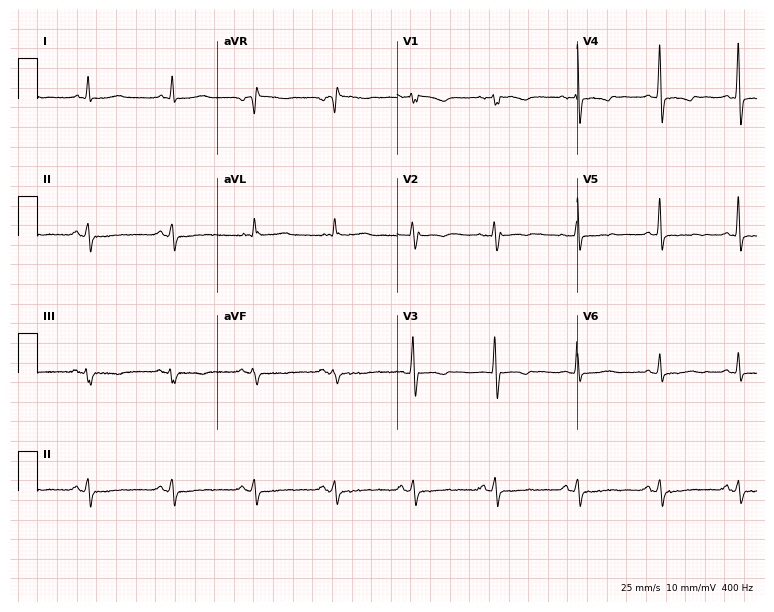
Resting 12-lead electrocardiogram (7.3-second recording at 400 Hz). Patient: a 61-year-old female. None of these six findings is recorded: first-degree AV block, right bundle branch block (RBBB), left bundle branch block (LBBB), sinus bradycardia, atrial fibrillation (AF), sinus tachycardia.